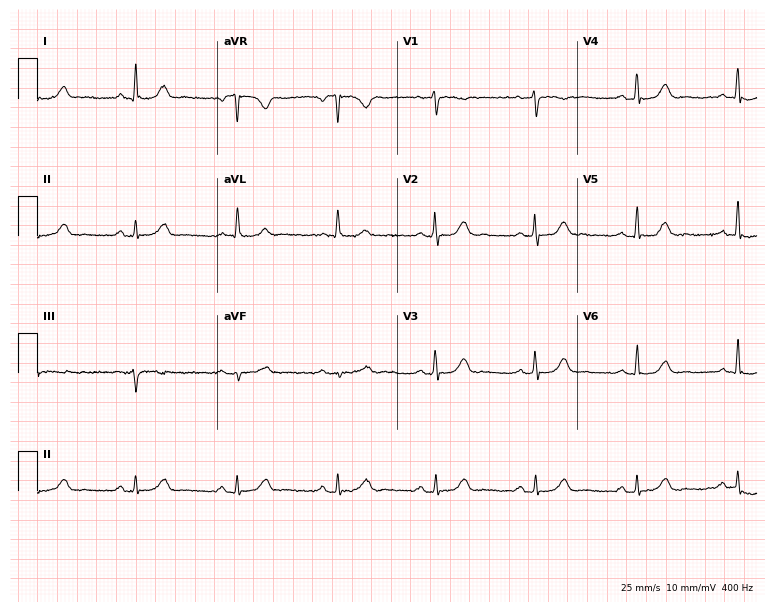
ECG (7.3-second recording at 400 Hz) — a female, 66 years old. Labelled as a normal ECG.